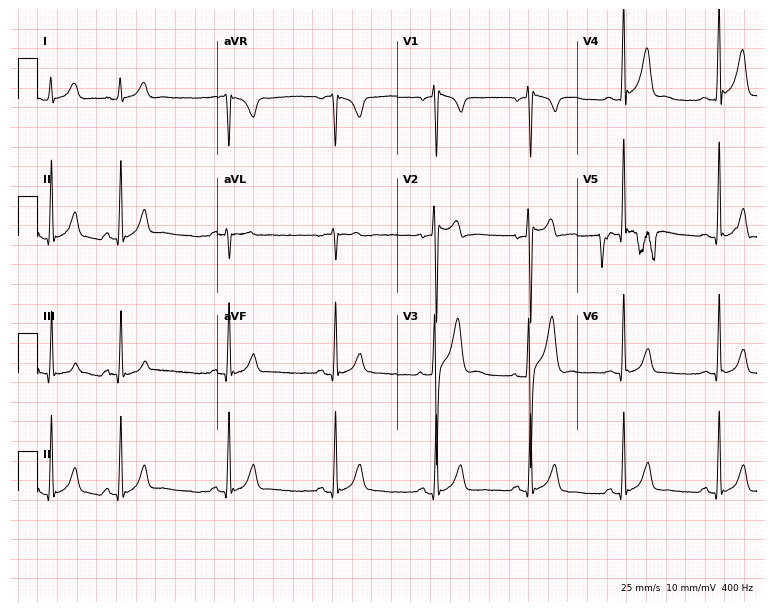
Resting 12-lead electrocardiogram (7.3-second recording at 400 Hz). Patient: a 26-year-old man. None of these six findings is recorded: first-degree AV block, right bundle branch block (RBBB), left bundle branch block (LBBB), sinus bradycardia, atrial fibrillation (AF), sinus tachycardia.